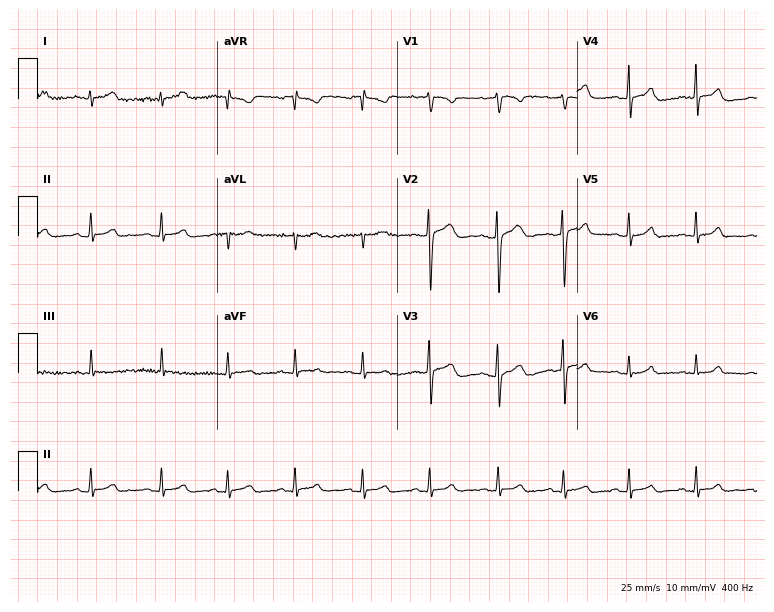
12-lead ECG (7.3-second recording at 400 Hz) from a 22-year-old female patient. Screened for six findings — first-degree AV block, right bundle branch block, left bundle branch block, sinus bradycardia, atrial fibrillation, sinus tachycardia — none is recorded.